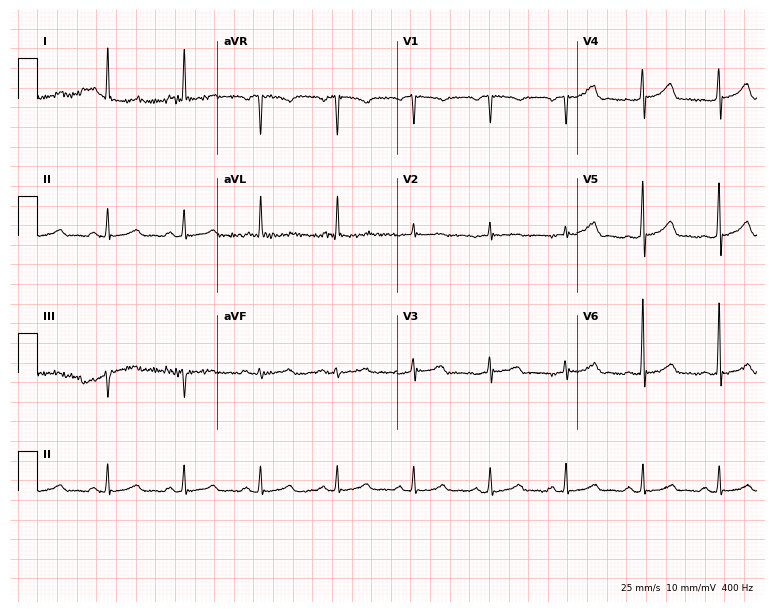
12-lead ECG from a female patient, 75 years old. Recorded interpretation: within normal limits.